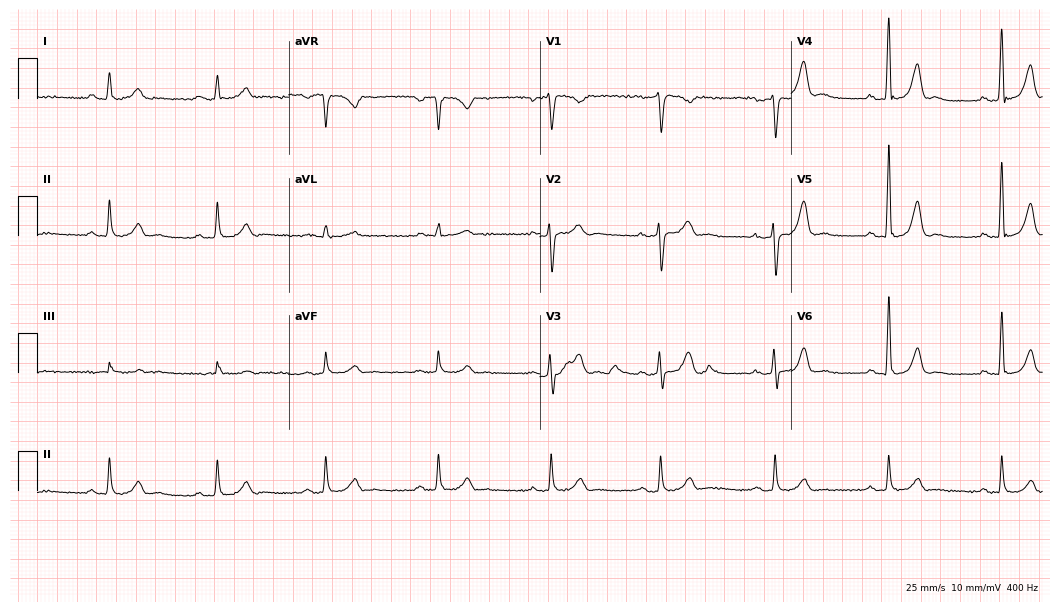
Standard 12-lead ECG recorded from a 45-year-old man (10.2-second recording at 400 Hz). Read as a normal ECG.